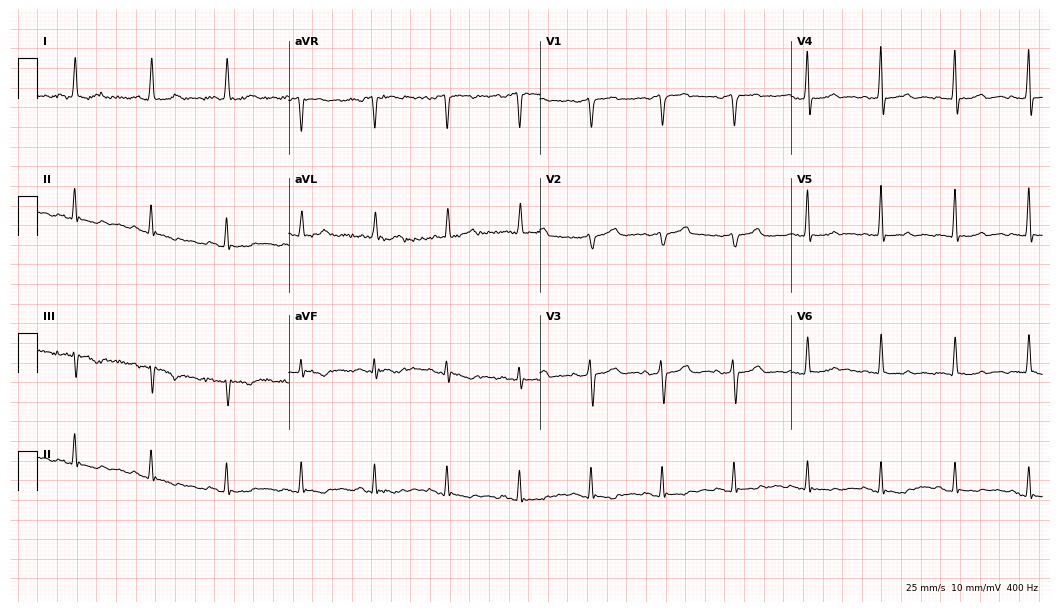
Electrocardiogram, a female patient, 57 years old. Of the six screened findings (first-degree AV block, right bundle branch block (RBBB), left bundle branch block (LBBB), sinus bradycardia, atrial fibrillation (AF), sinus tachycardia), none is recorded.